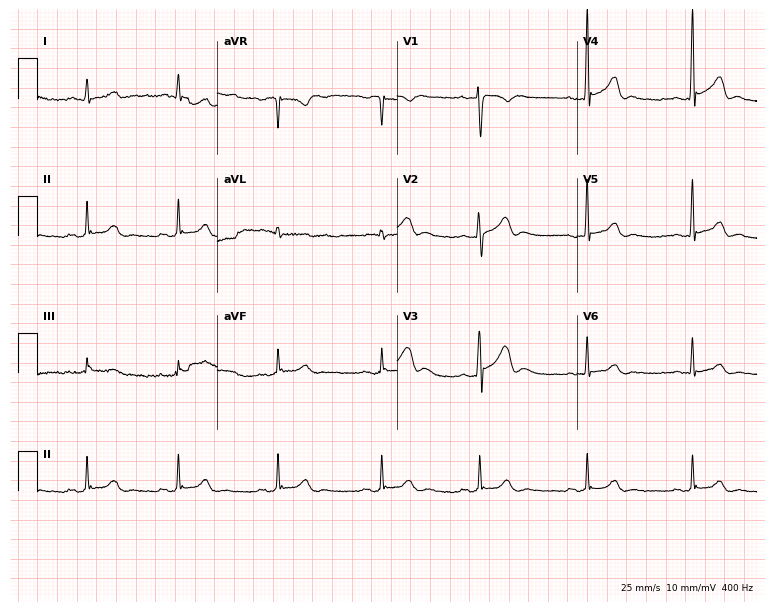
Standard 12-lead ECG recorded from a 29-year-old male patient. Read as a normal ECG.